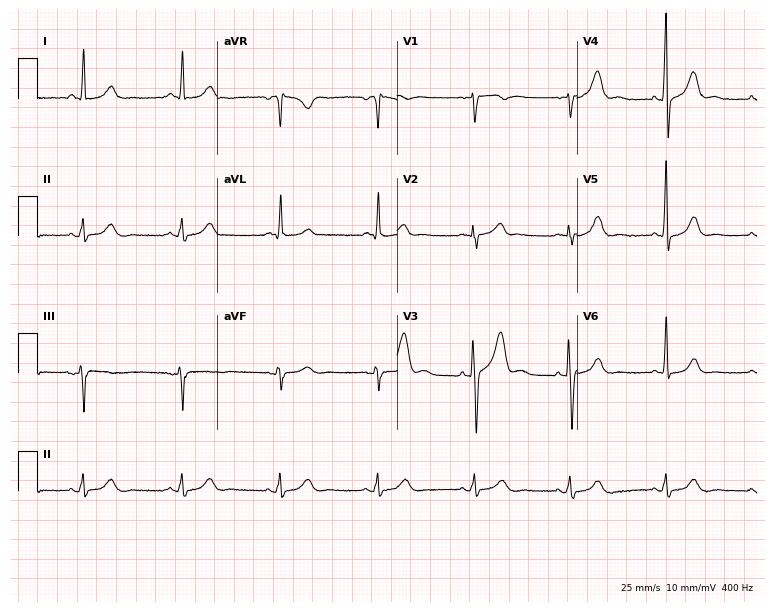
ECG — a 61-year-old male. Labelled as a normal ECG.